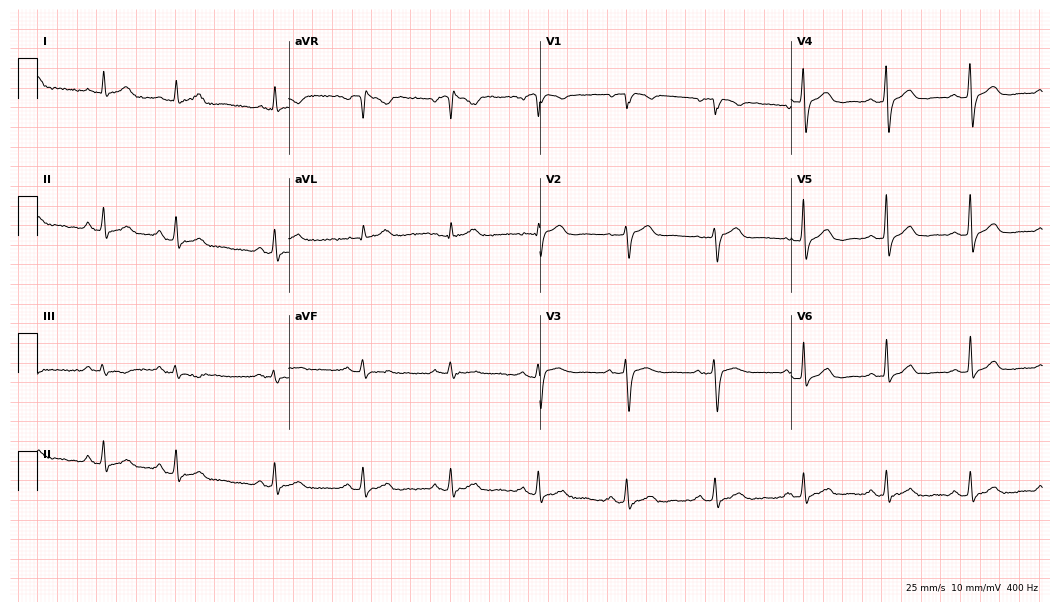
12-lead ECG from a 73-year-old female patient. Labelled as a normal ECG.